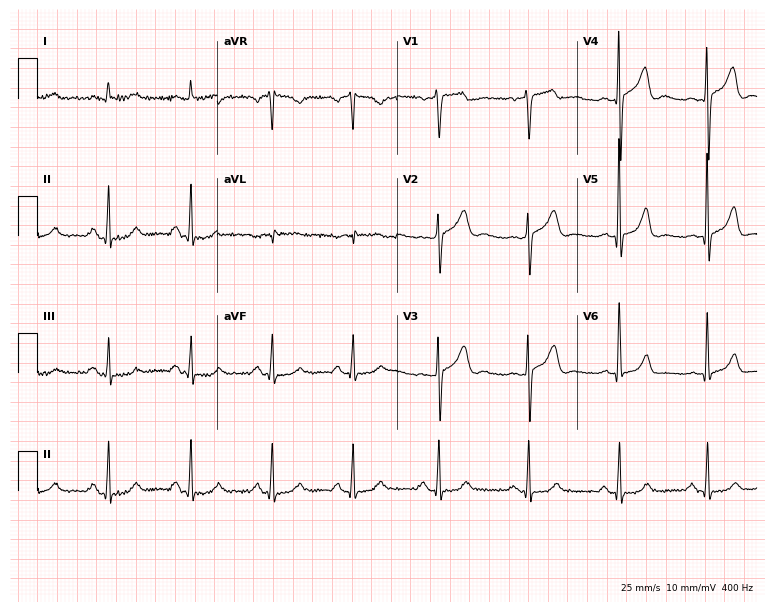
Standard 12-lead ECG recorded from a man, 65 years old. None of these six findings is recorded: first-degree AV block, right bundle branch block, left bundle branch block, sinus bradycardia, atrial fibrillation, sinus tachycardia. Findings outside these six are not listed.